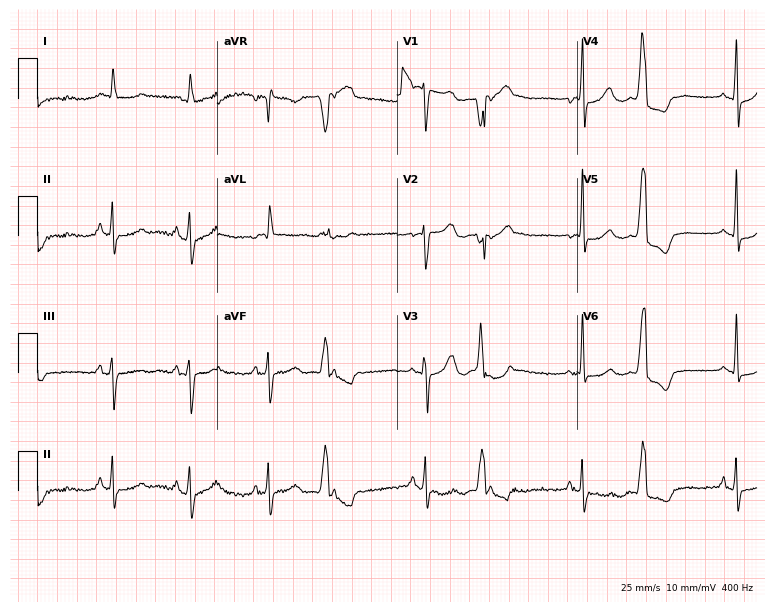
Standard 12-lead ECG recorded from a female, 76 years old (7.3-second recording at 400 Hz). None of these six findings is recorded: first-degree AV block, right bundle branch block, left bundle branch block, sinus bradycardia, atrial fibrillation, sinus tachycardia. Only these six findings were labelled.